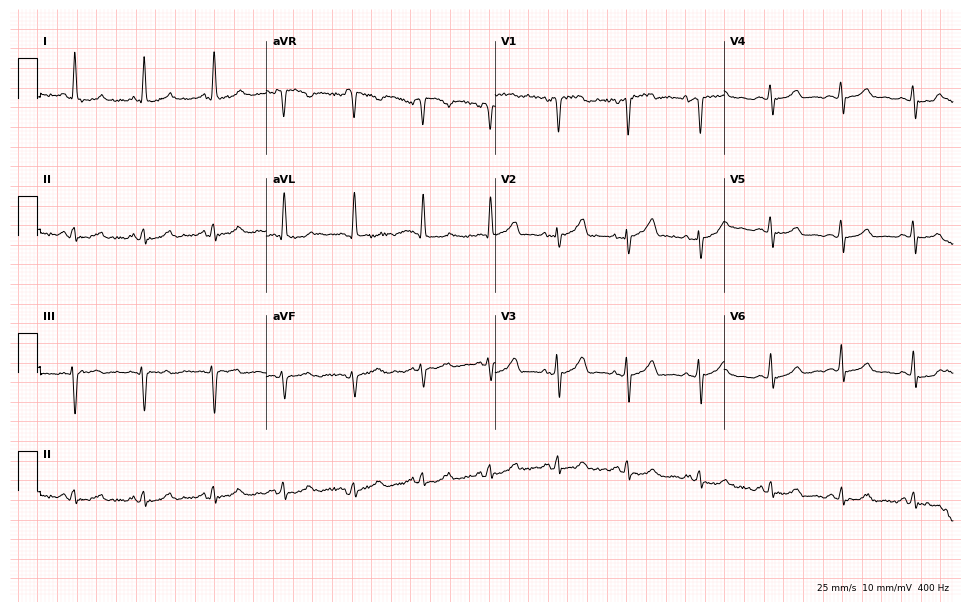
12-lead ECG from a female, 67 years old. No first-degree AV block, right bundle branch block, left bundle branch block, sinus bradycardia, atrial fibrillation or sinus tachycardia recorded for this tracing.